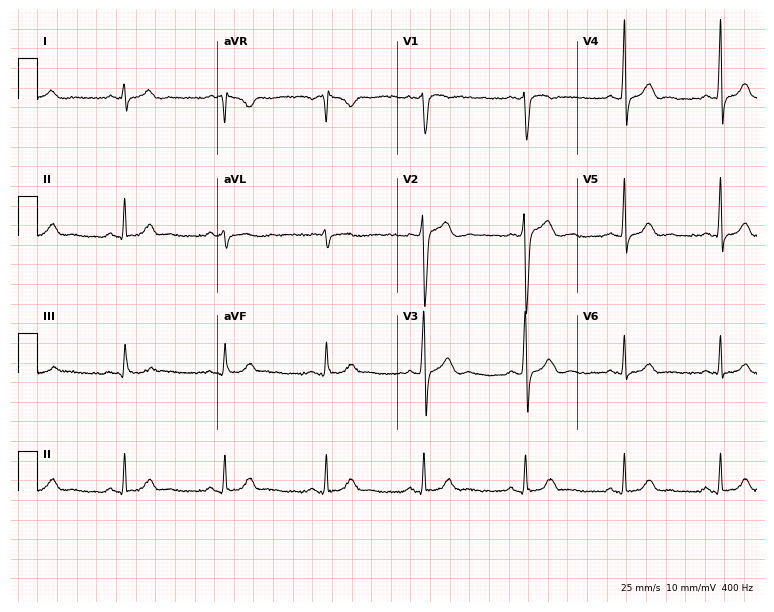
Resting 12-lead electrocardiogram. Patient: a 28-year-old male. Read as a normal ECG.